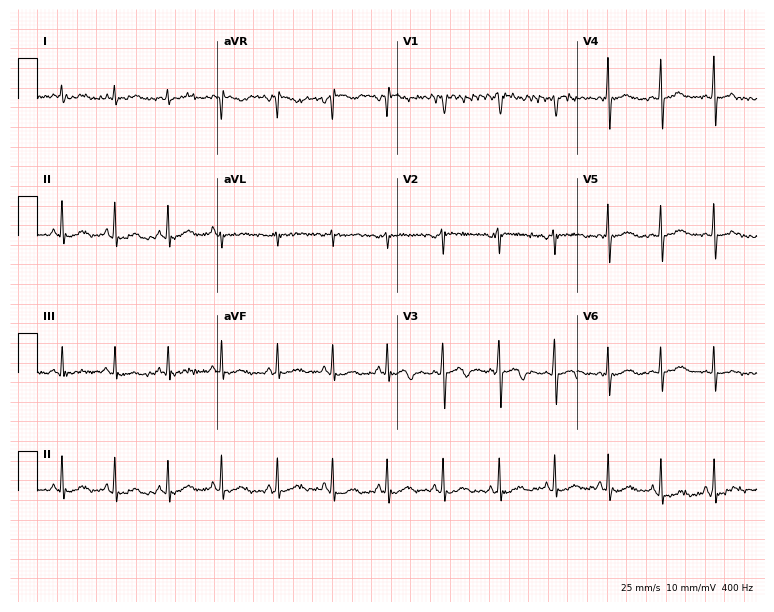
12-lead ECG from a female patient, 17 years old. No first-degree AV block, right bundle branch block, left bundle branch block, sinus bradycardia, atrial fibrillation or sinus tachycardia recorded for this tracing. Other findings, if any, are not listed.